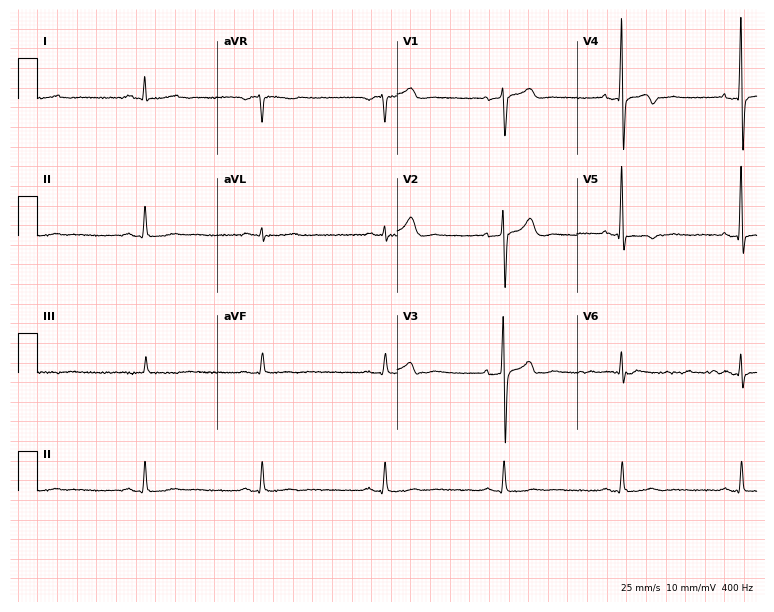
ECG — a woman, 61 years old. Screened for six findings — first-degree AV block, right bundle branch block, left bundle branch block, sinus bradycardia, atrial fibrillation, sinus tachycardia — none is recorded. Findings outside these six are not listed.